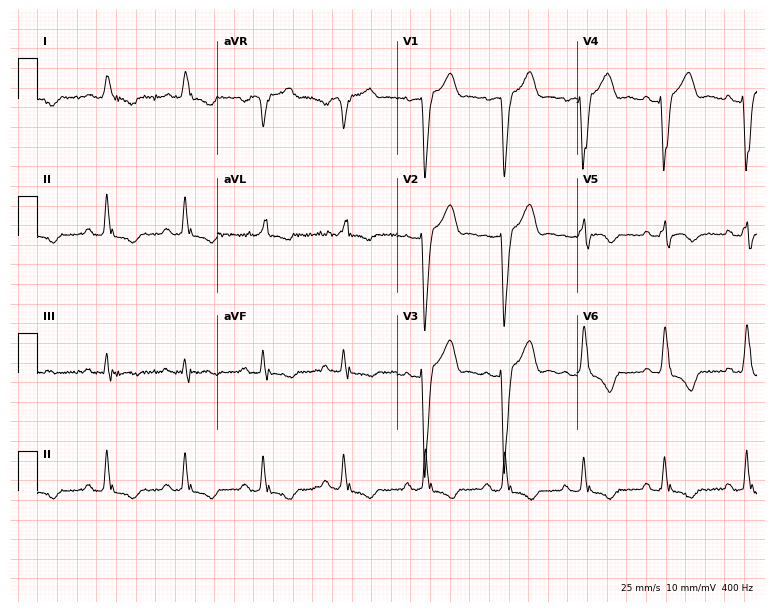
Electrocardiogram (7.3-second recording at 400 Hz), a 77-year-old male. Interpretation includes left bundle branch block (LBBB).